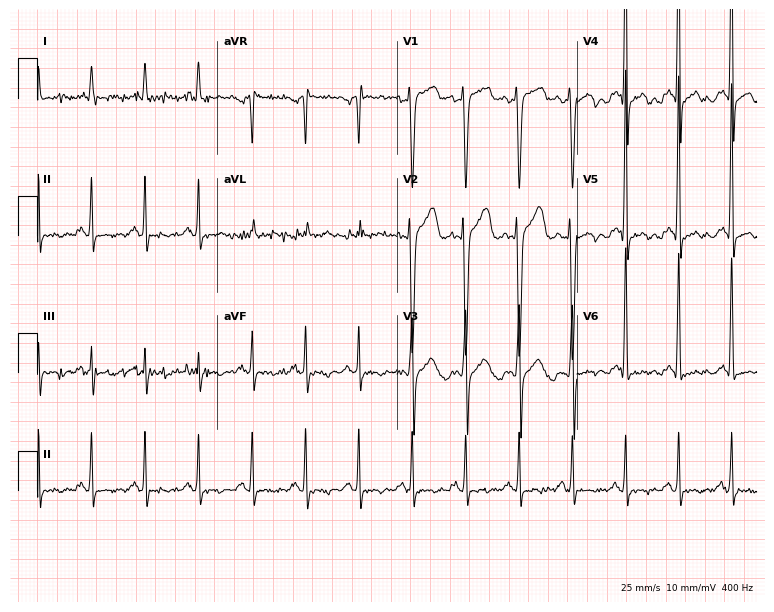
ECG — a 32-year-old male. Screened for six findings — first-degree AV block, right bundle branch block, left bundle branch block, sinus bradycardia, atrial fibrillation, sinus tachycardia — none is recorded.